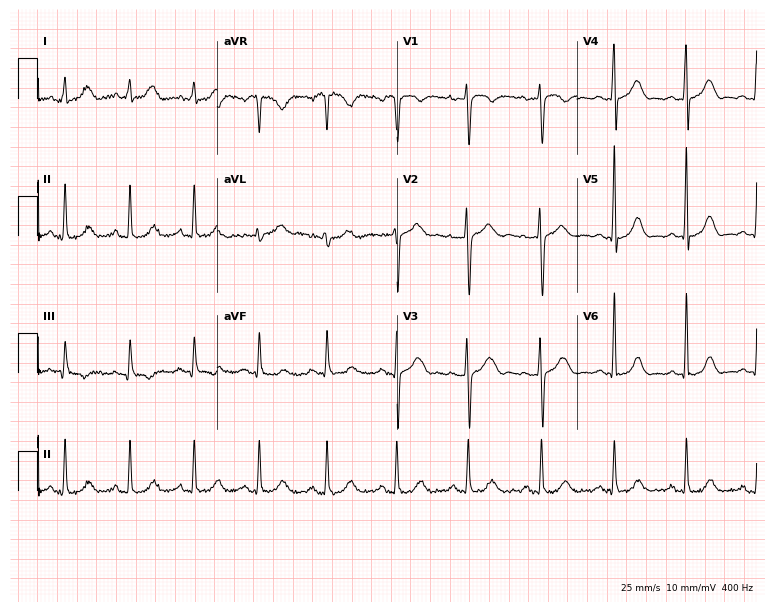
Resting 12-lead electrocardiogram (7.3-second recording at 400 Hz). Patient: a 42-year-old female. Read as a normal ECG.